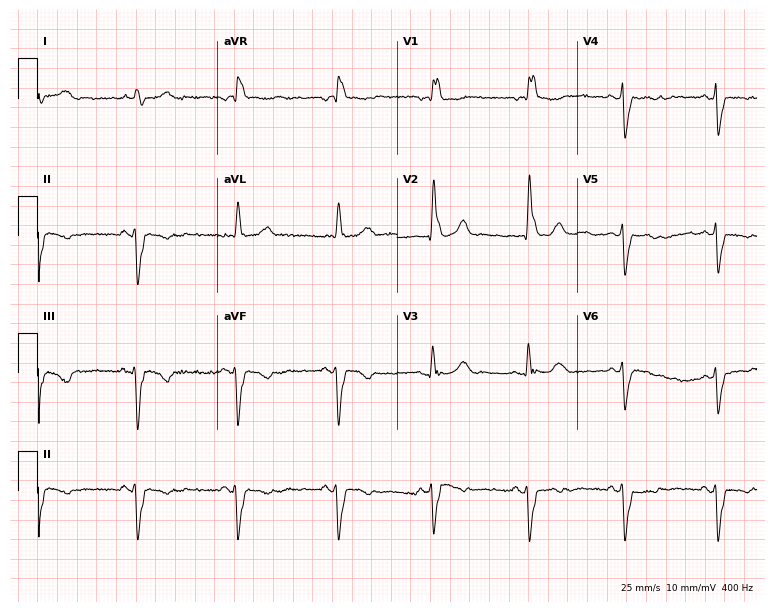
12-lead ECG from a female patient, 85 years old (7.3-second recording at 400 Hz). Shows right bundle branch block.